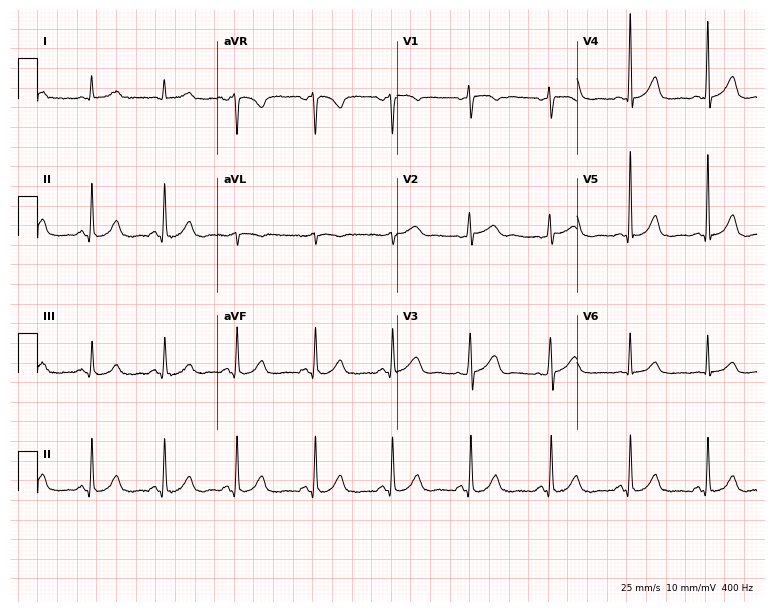
12-lead ECG from a woman, 50 years old. No first-degree AV block, right bundle branch block (RBBB), left bundle branch block (LBBB), sinus bradycardia, atrial fibrillation (AF) or sinus tachycardia recorded for this tracing. Only these six findings were labelled.